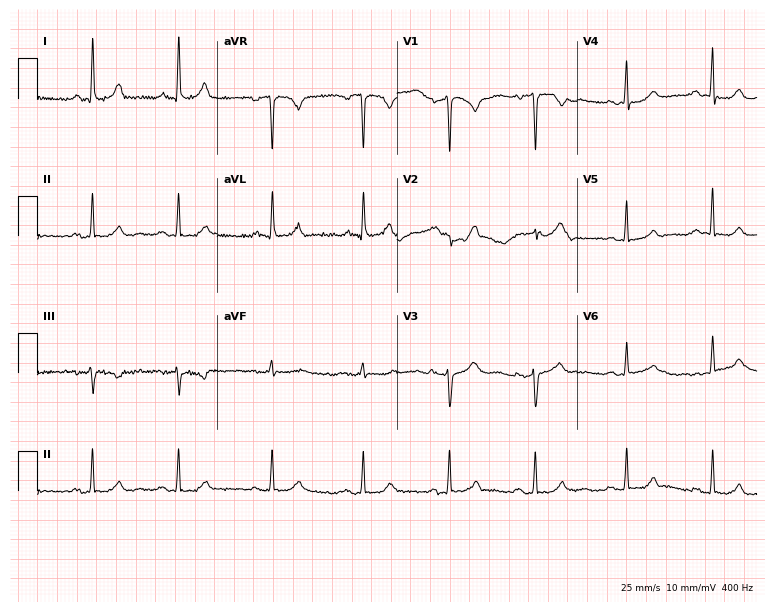
Electrocardiogram (7.3-second recording at 400 Hz), a 59-year-old woman. Overall reading on record: normal ECG.